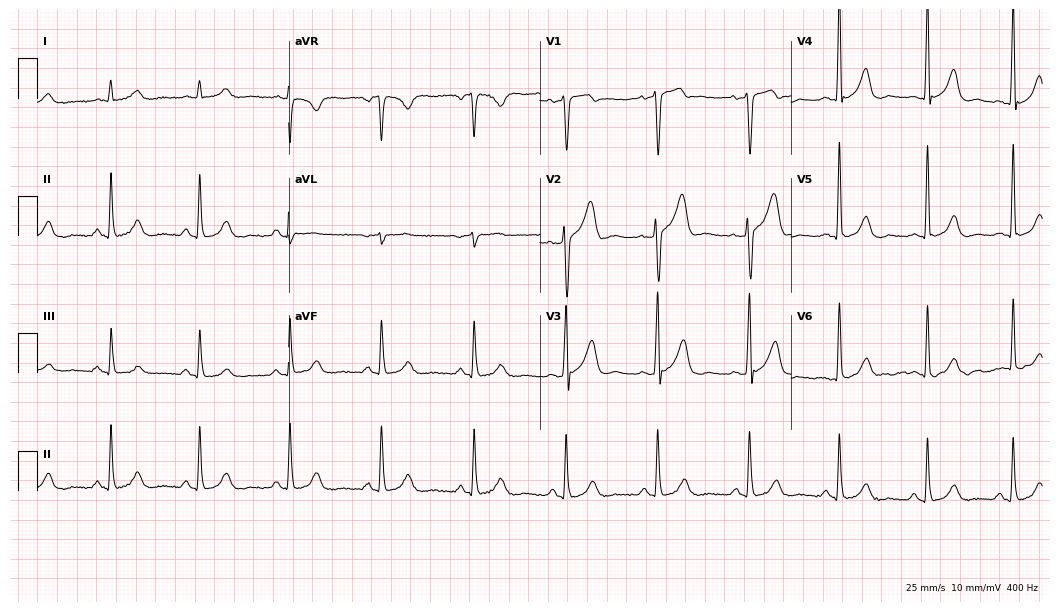
ECG (10.2-second recording at 400 Hz) — a male, 57 years old. Screened for six findings — first-degree AV block, right bundle branch block, left bundle branch block, sinus bradycardia, atrial fibrillation, sinus tachycardia — none is recorded.